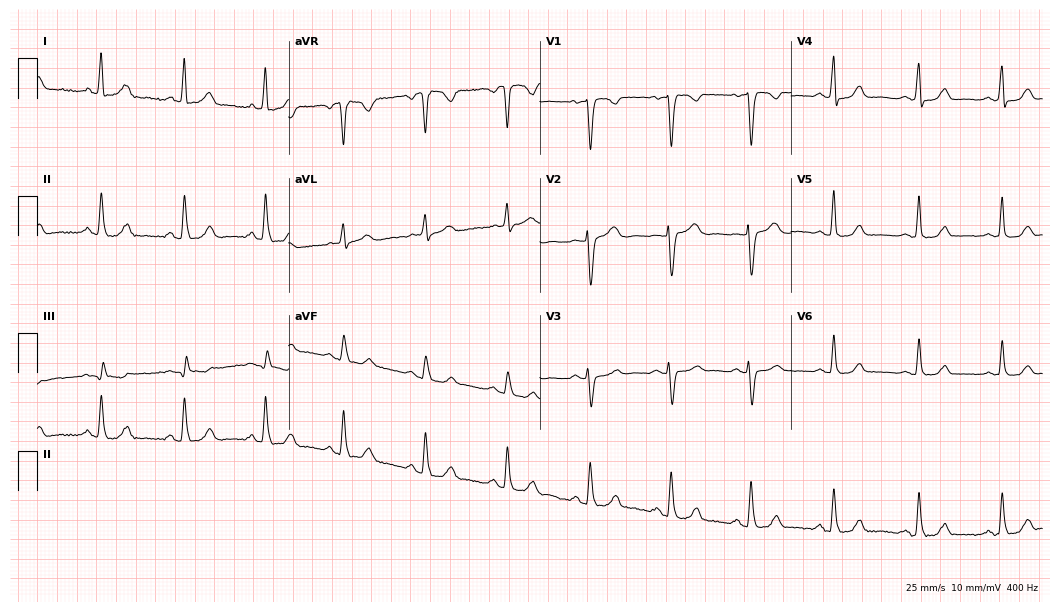
Electrocardiogram (10.2-second recording at 400 Hz), a 59-year-old female patient. Of the six screened findings (first-degree AV block, right bundle branch block, left bundle branch block, sinus bradycardia, atrial fibrillation, sinus tachycardia), none is recorded. Other findings, if any, are not listed.